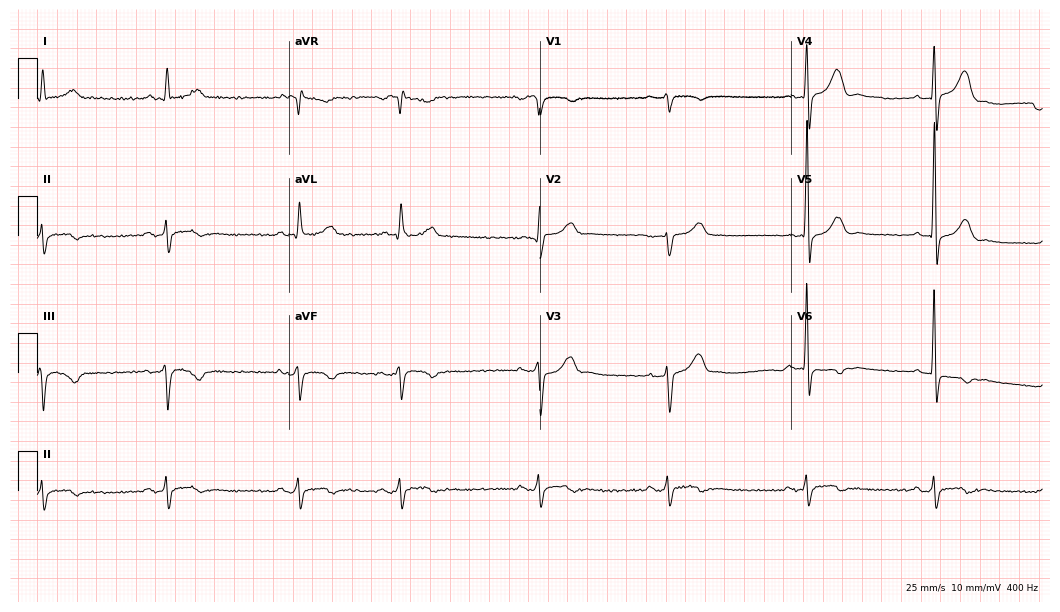
12-lead ECG from an 85-year-old male patient (10.2-second recording at 400 Hz). Shows sinus bradycardia (a sinus rate of 50 beats per minute or less).